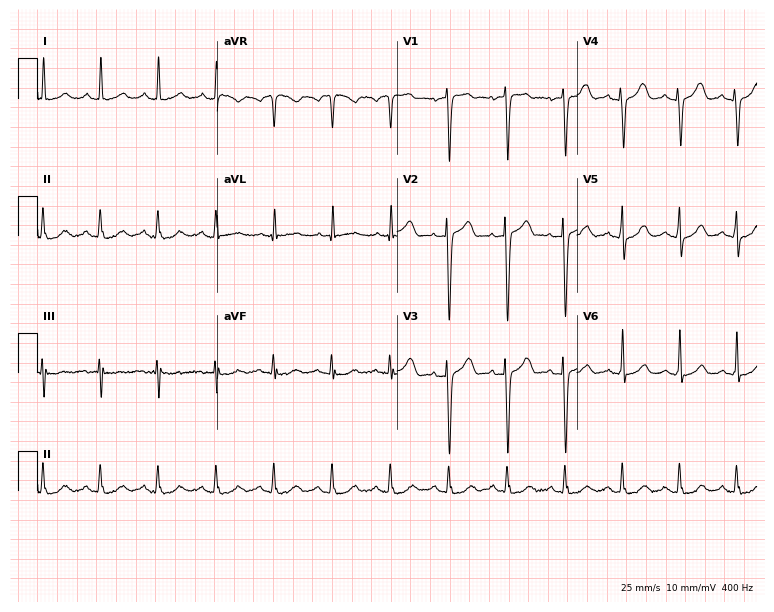
Electrocardiogram (7.3-second recording at 400 Hz), a 62-year-old female patient. Overall reading on record: normal ECG.